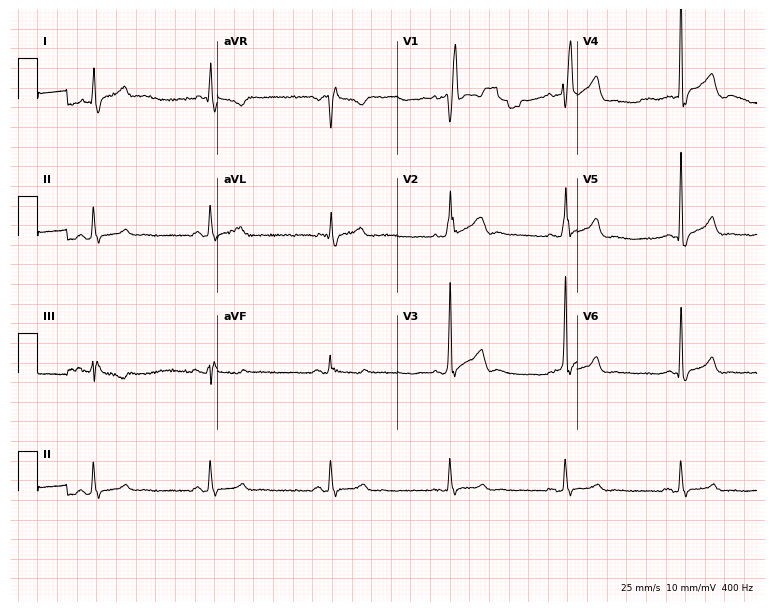
Electrocardiogram (7.3-second recording at 400 Hz), a male, 51 years old. Of the six screened findings (first-degree AV block, right bundle branch block (RBBB), left bundle branch block (LBBB), sinus bradycardia, atrial fibrillation (AF), sinus tachycardia), none is recorded.